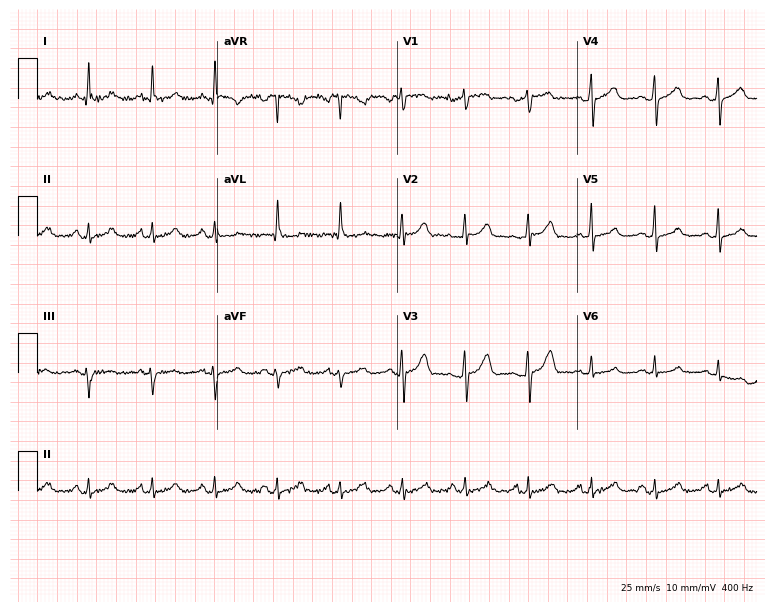
12-lead ECG from a 49-year-old female patient. Labelled as a normal ECG.